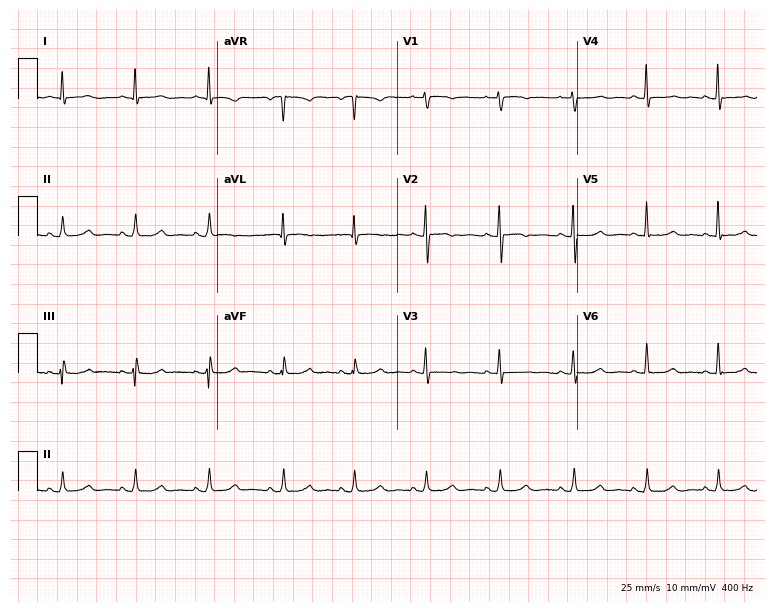
ECG (7.3-second recording at 400 Hz) — a 50-year-old female. Labelled as a normal ECG.